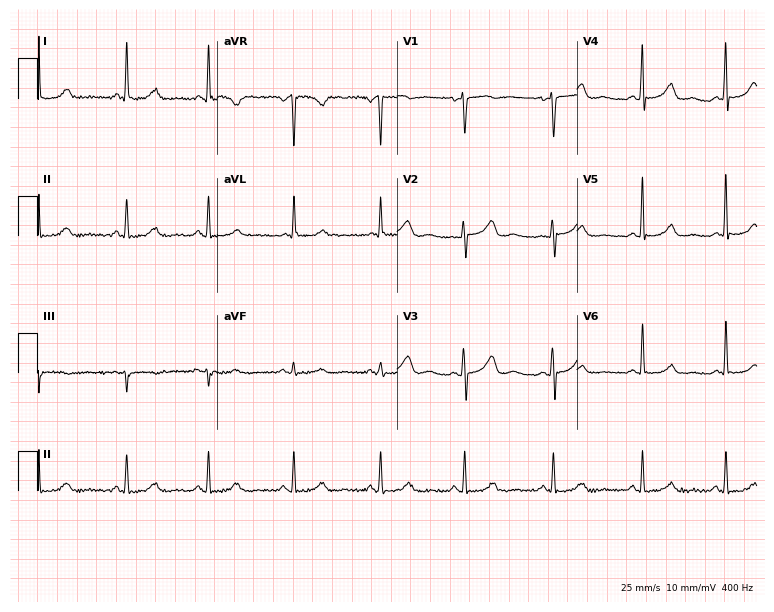
Standard 12-lead ECG recorded from a female, 46 years old (7.3-second recording at 400 Hz). Read as a normal ECG.